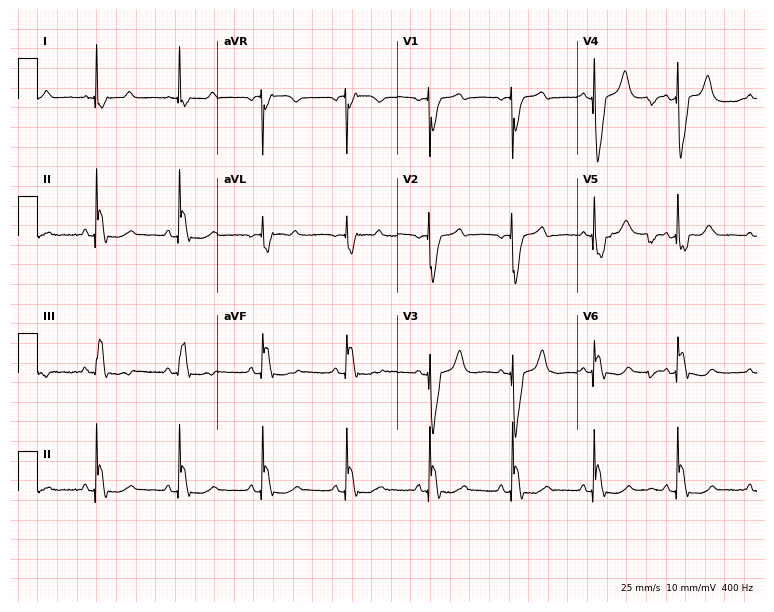
Standard 12-lead ECG recorded from a 78-year-old female (7.3-second recording at 400 Hz). None of these six findings is recorded: first-degree AV block, right bundle branch block (RBBB), left bundle branch block (LBBB), sinus bradycardia, atrial fibrillation (AF), sinus tachycardia.